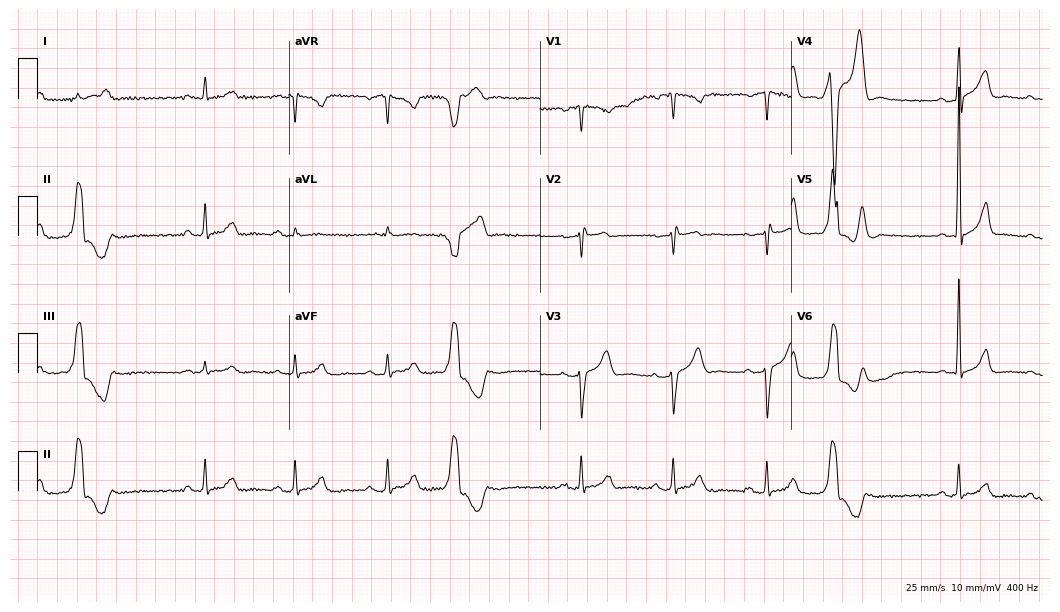
ECG — a man, 54 years old. Screened for six findings — first-degree AV block, right bundle branch block, left bundle branch block, sinus bradycardia, atrial fibrillation, sinus tachycardia — none is recorded. Other findings, if any, are not listed.